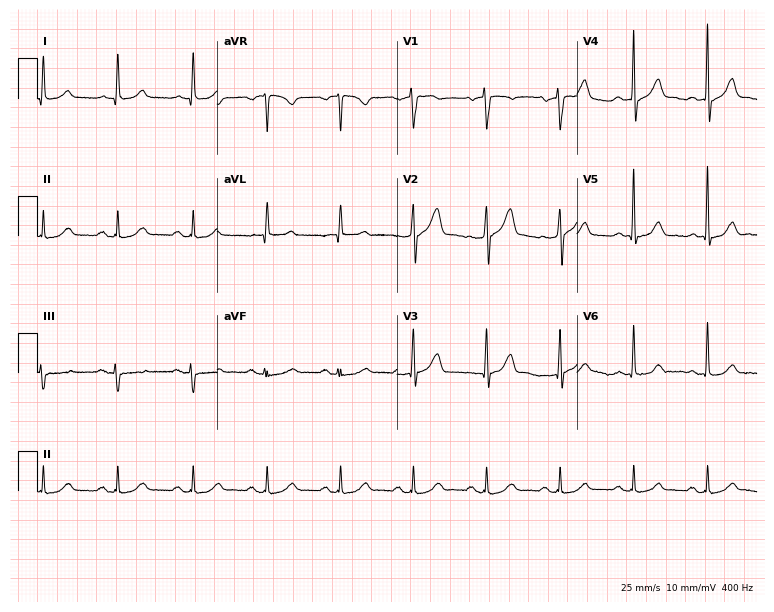
12-lead ECG from a male patient, 67 years old. No first-degree AV block, right bundle branch block (RBBB), left bundle branch block (LBBB), sinus bradycardia, atrial fibrillation (AF) or sinus tachycardia recorded for this tracing. Findings outside these six are not listed.